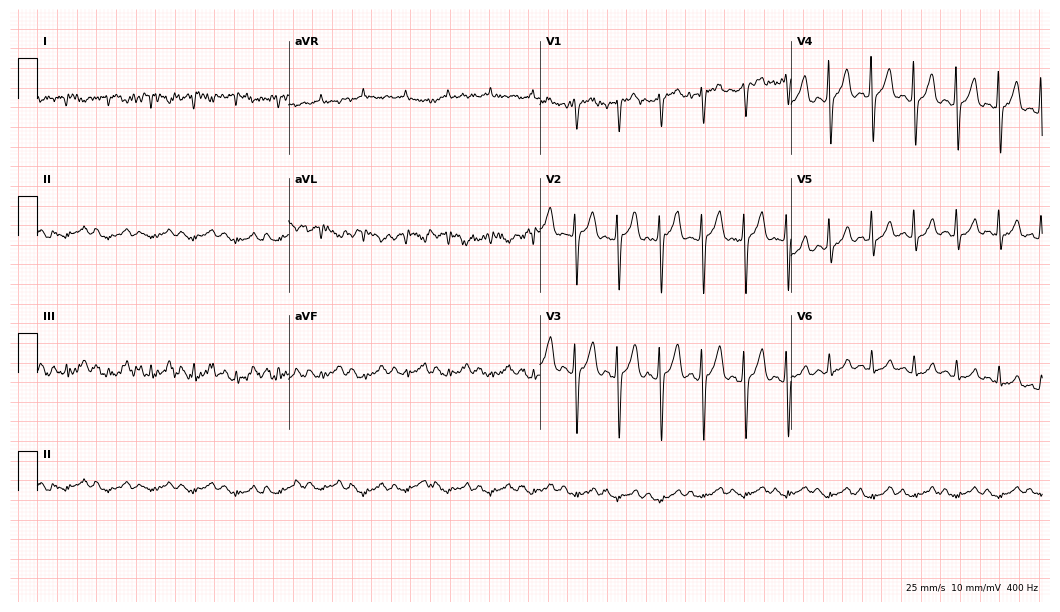
ECG (10.2-second recording at 400 Hz) — a 70-year-old male. Screened for six findings — first-degree AV block, right bundle branch block (RBBB), left bundle branch block (LBBB), sinus bradycardia, atrial fibrillation (AF), sinus tachycardia — none is recorded. Other findings, if any, are not listed.